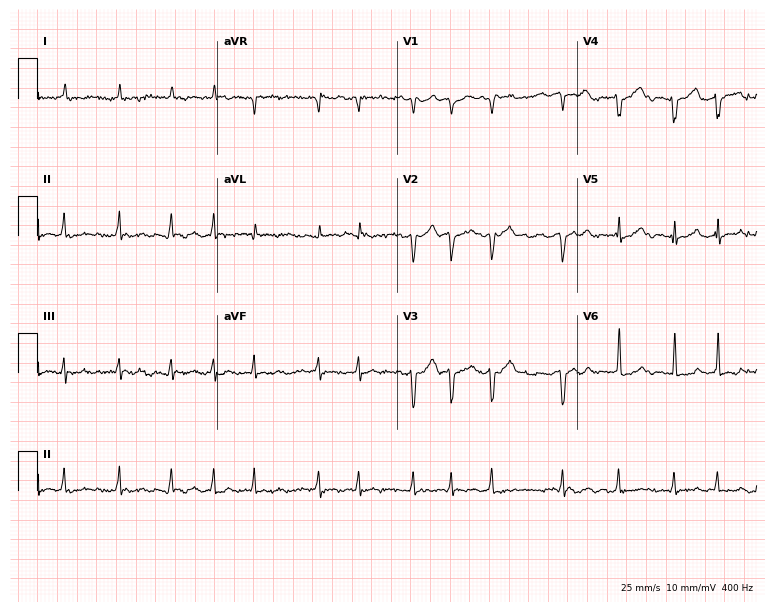
12-lead ECG from a woman, 72 years old. Shows atrial fibrillation (AF).